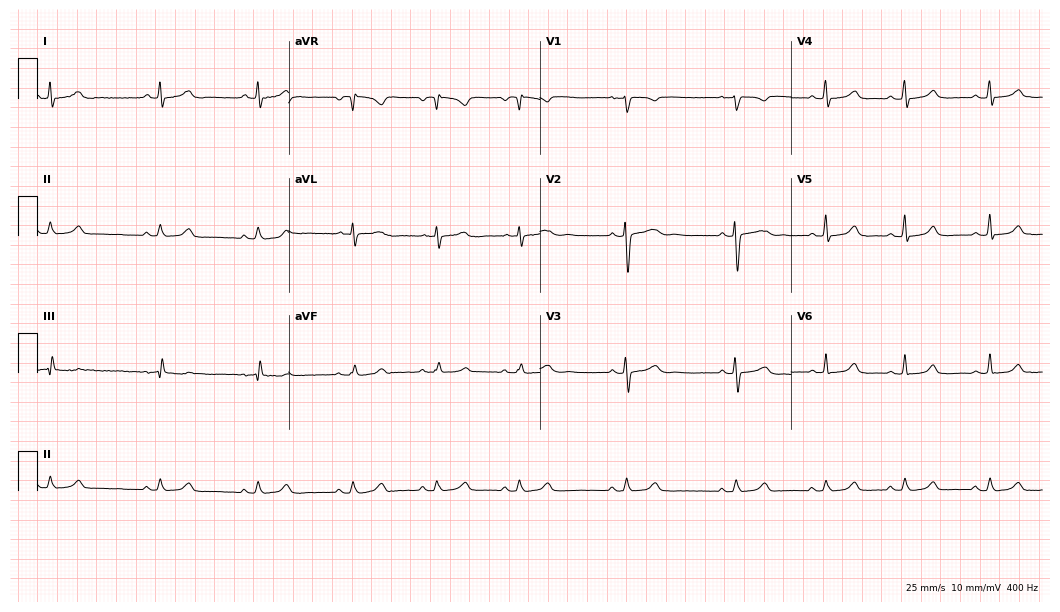
Standard 12-lead ECG recorded from a 24-year-old female patient (10.2-second recording at 400 Hz). Read as a normal ECG.